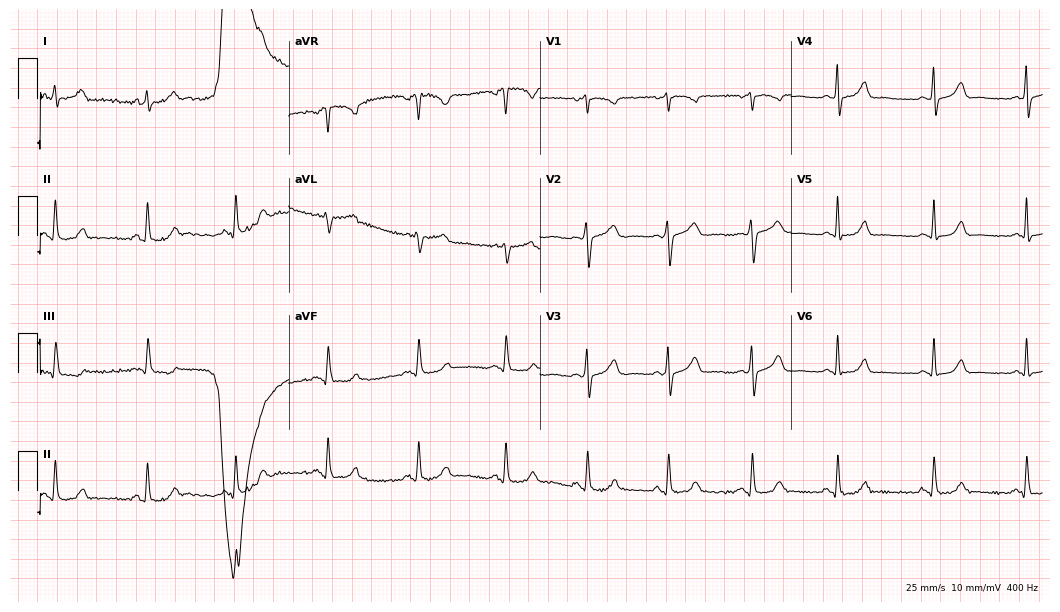
Standard 12-lead ECG recorded from a 44-year-old woman. None of these six findings is recorded: first-degree AV block, right bundle branch block (RBBB), left bundle branch block (LBBB), sinus bradycardia, atrial fibrillation (AF), sinus tachycardia. Only these six findings were labelled.